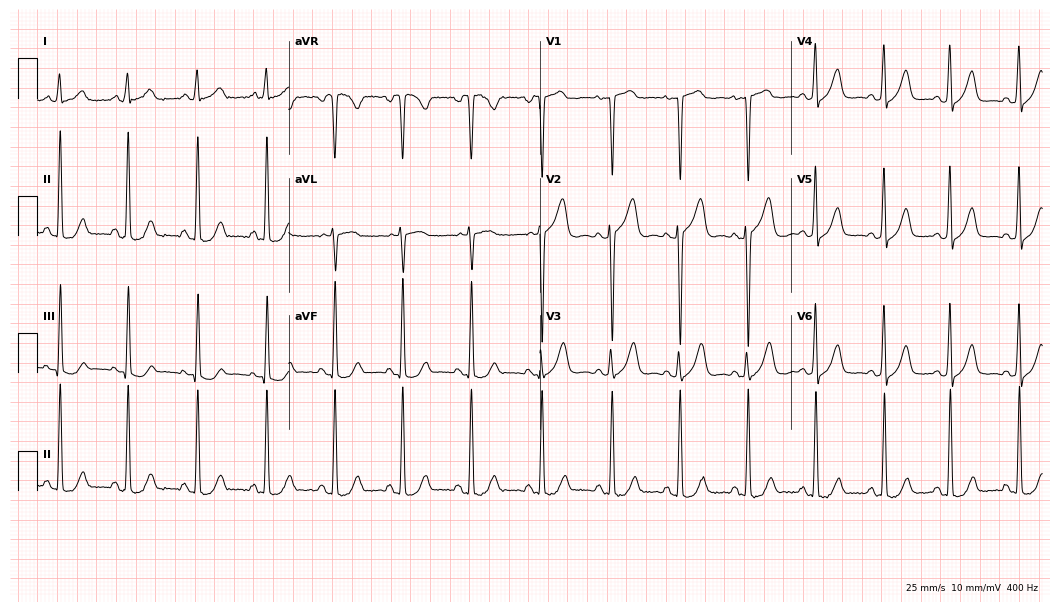
12-lead ECG (10.2-second recording at 400 Hz) from a 38-year-old female. Labelled as a normal ECG.